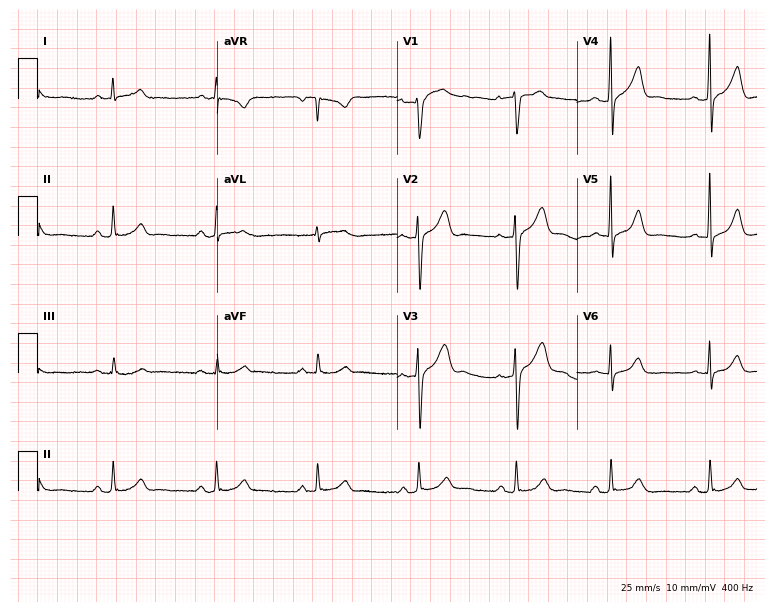
Electrocardiogram (7.3-second recording at 400 Hz), a male, 46 years old. Overall reading on record: normal ECG.